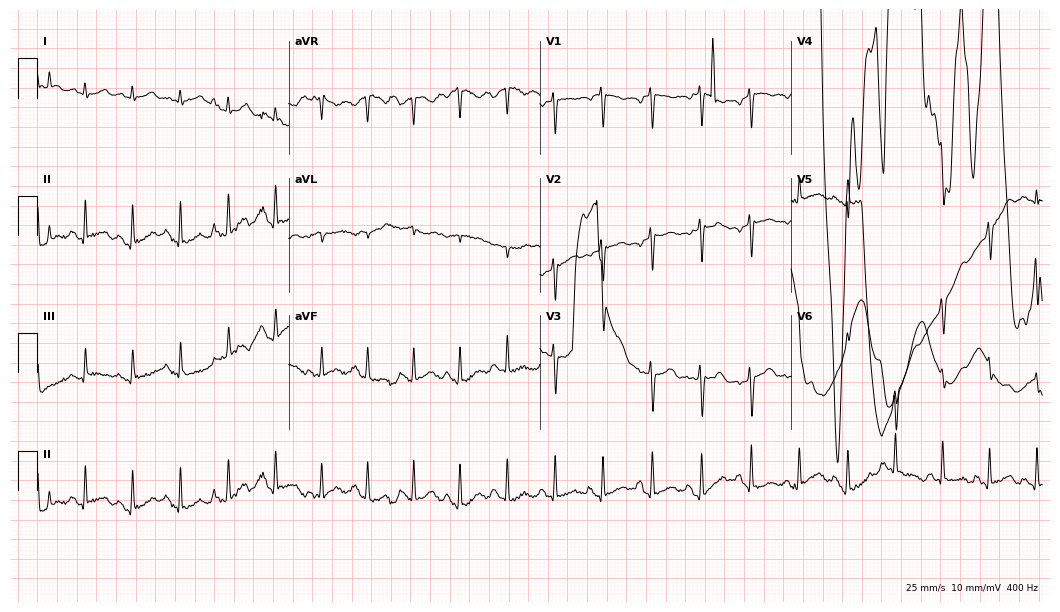
12-lead ECG (10.2-second recording at 400 Hz) from a 26-year-old female. Screened for six findings — first-degree AV block, right bundle branch block, left bundle branch block, sinus bradycardia, atrial fibrillation, sinus tachycardia — none is recorded. Findings outside these six are not listed.